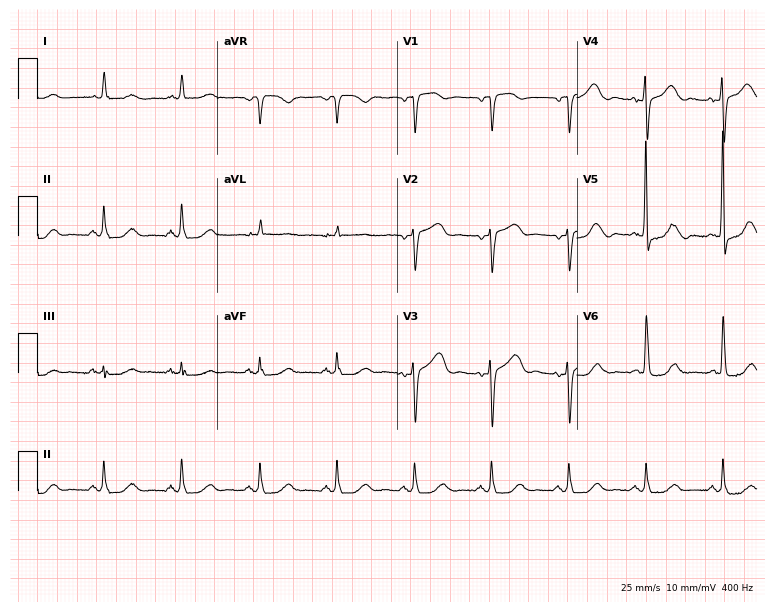
Standard 12-lead ECG recorded from an 84-year-old female. Read as a normal ECG.